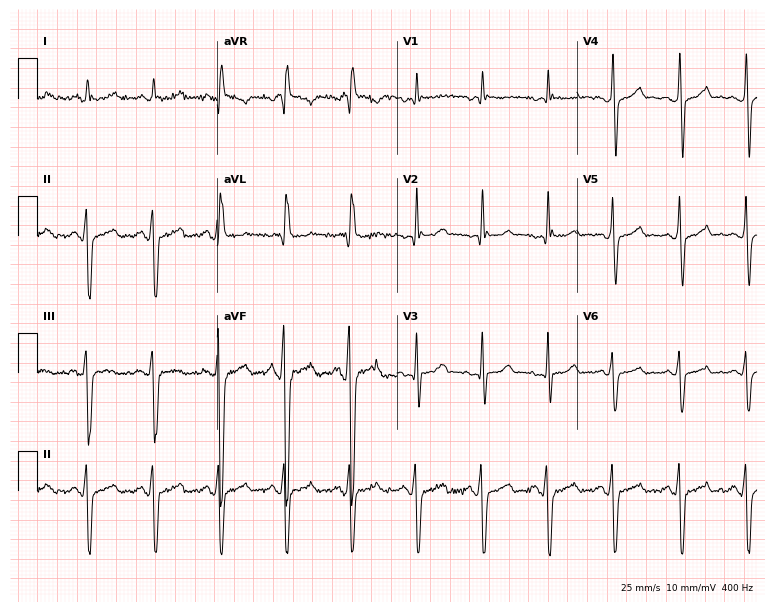
Resting 12-lead electrocardiogram (7.3-second recording at 400 Hz). Patient: a 60-year-old female. None of these six findings is recorded: first-degree AV block, right bundle branch block (RBBB), left bundle branch block (LBBB), sinus bradycardia, atrial fibrillation (AF), sinus tachycardia. Other findings, if any, are not listed.